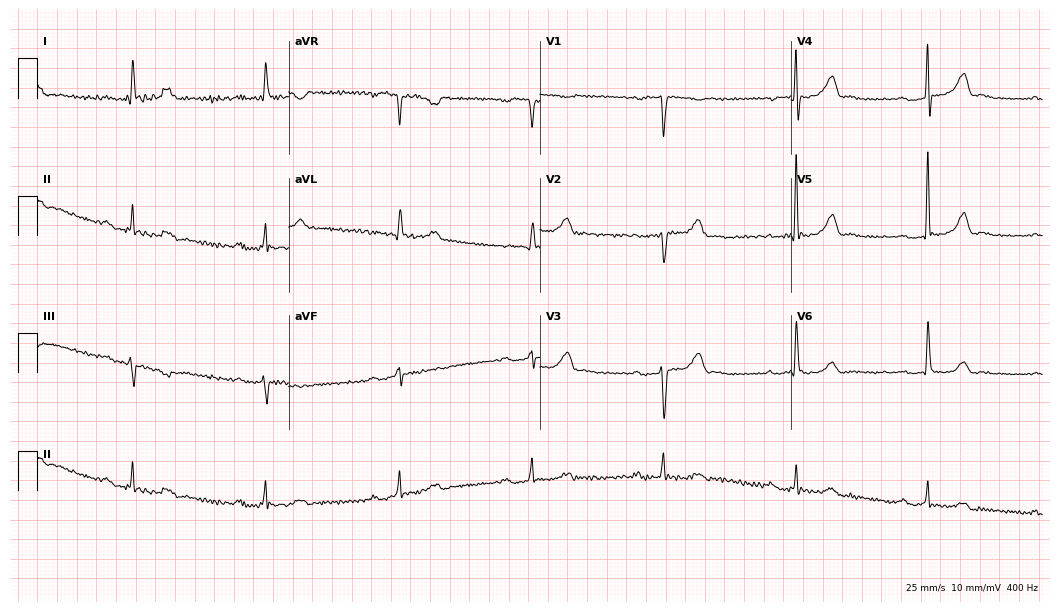
Resting 12-lead electrocardiogram (10.2-second recording at 400 Hz). Patient: a 70-year-old female. The tracing shows sinus bradycardia (a sinus rate of 50 beats per minute or less).